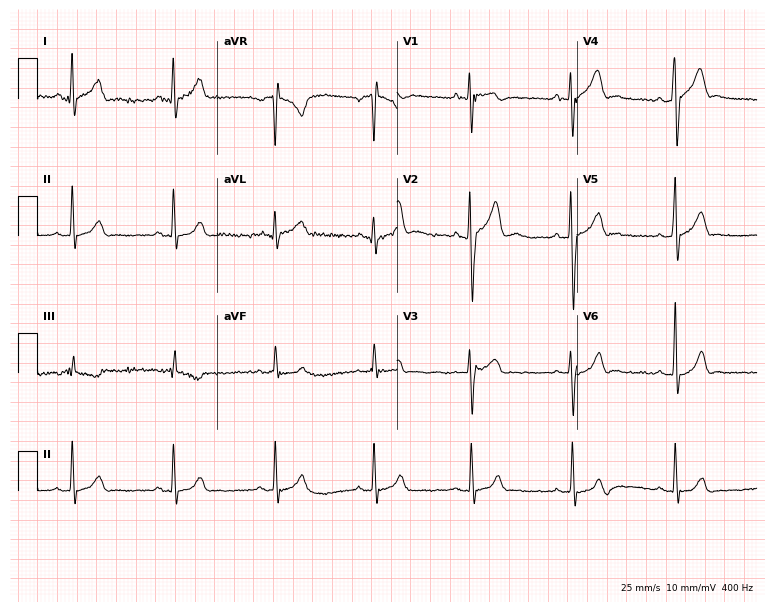
12-lead ECG from a female patient, 22 years old. Labelled as a normal ECG.